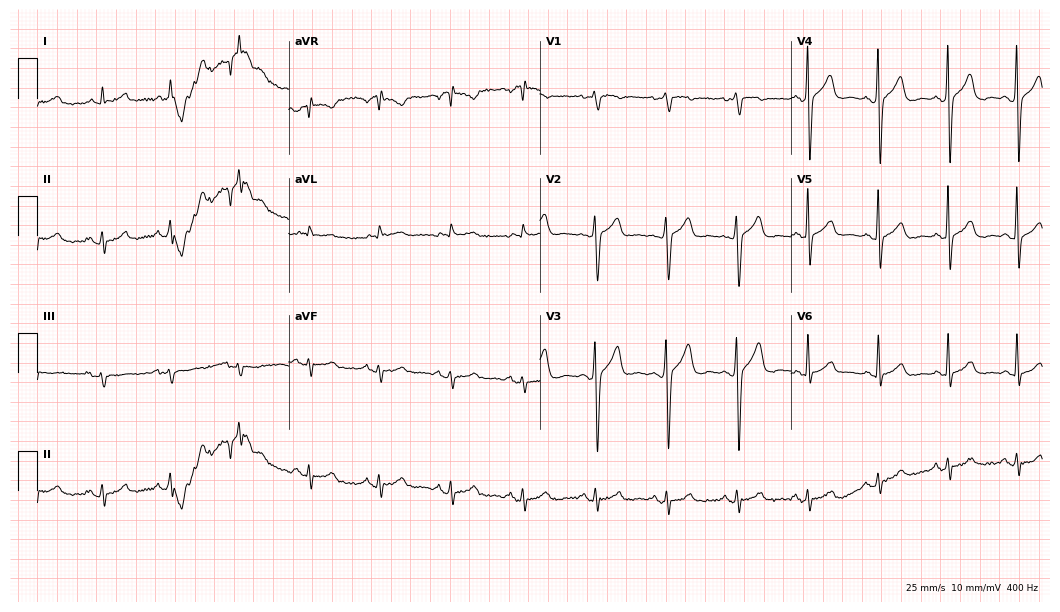
12-lead ECG from a male patient, 73 years old. Labelled as a normal ECG.